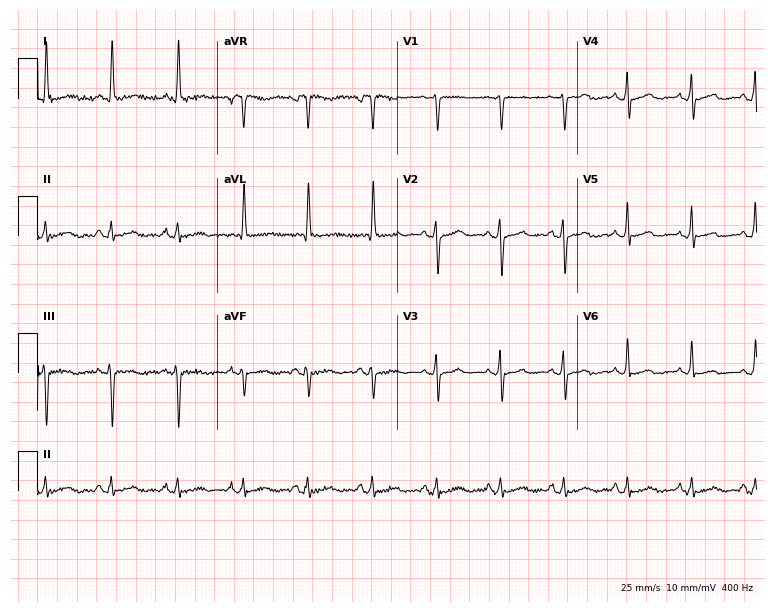
Electrocardiogram, a 68-year-old woman. Overall reading on record: normal ECG.